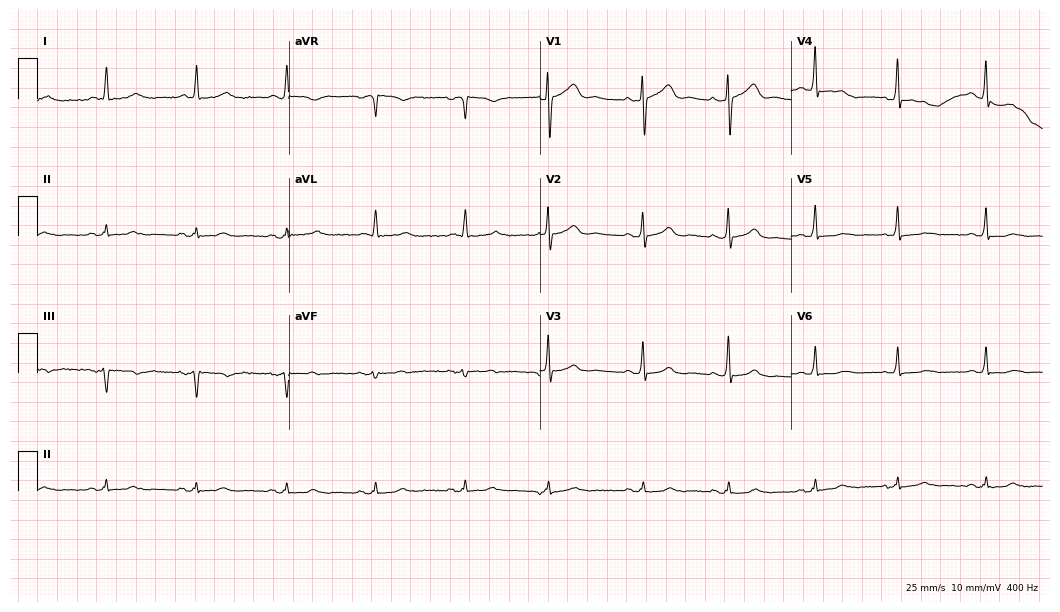
ECG — a female, 80 years old. Screened for six findings — first-degree AV block, right bundle branch block, left bundle branch block, sinus bradycardia, atrial fibrillation, sinus tachycardia — none is recorded.